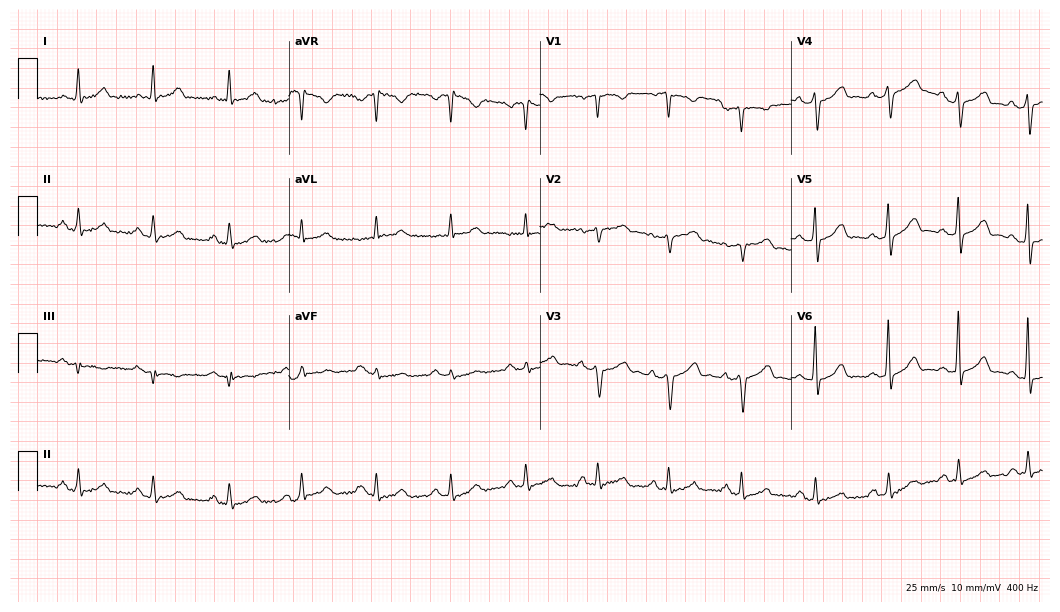
12-lead ECG (10.2-second recording at 400 Hz) from a male, 67 years old. Screened for six findings — first-degree AV block, right bundle branch block, left bundle branch block, sinus bradycardia, atrial fibrillation, sinus tachycardia — none is recorded.